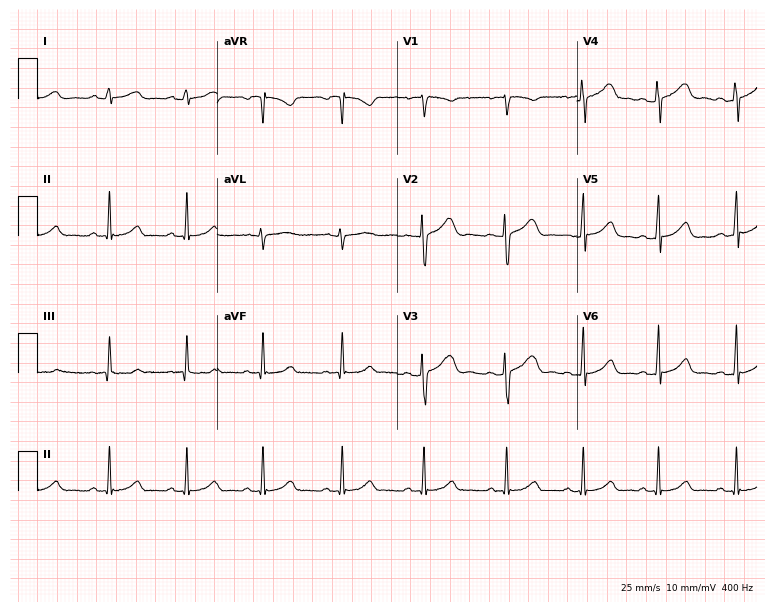
ECG (7.3-second recording at 400 Hz) — a 27-year-old woman. Screened for six findings — first-degree AV block, right bundle branch block, left bundle branch block, sinus bradycardia, atrial fibrillation, sinus tachycardia — none is recorded. Other findings, if any, are not listed.